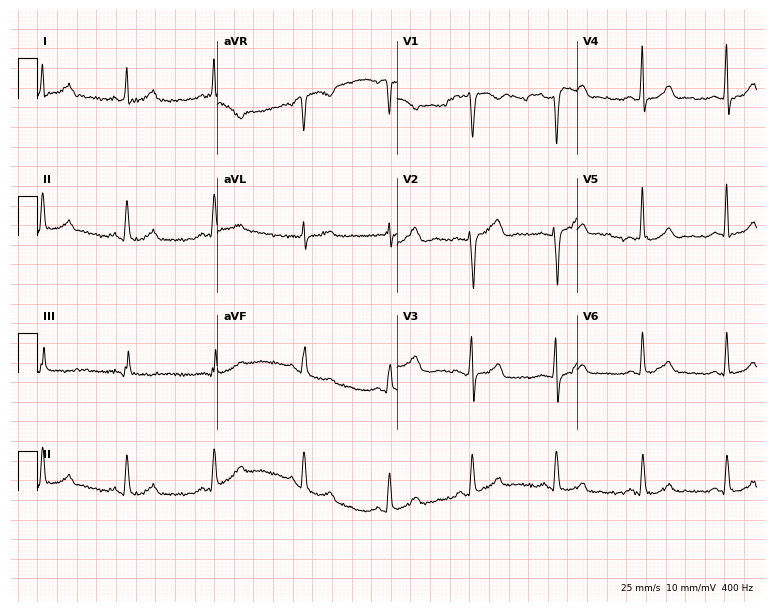
12-lead ECG from a 41-year-old female patient (7.3-second recording at 400 Hz). Recorded interpretation: within normal limits.